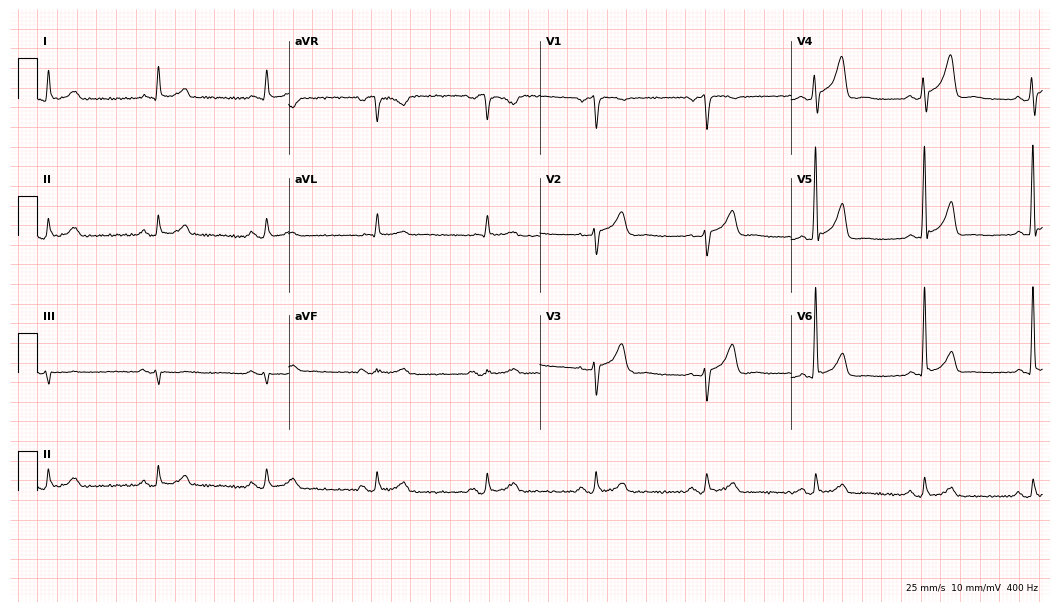
ECG — a 69-year-old man. Labelled as a normal ECG.